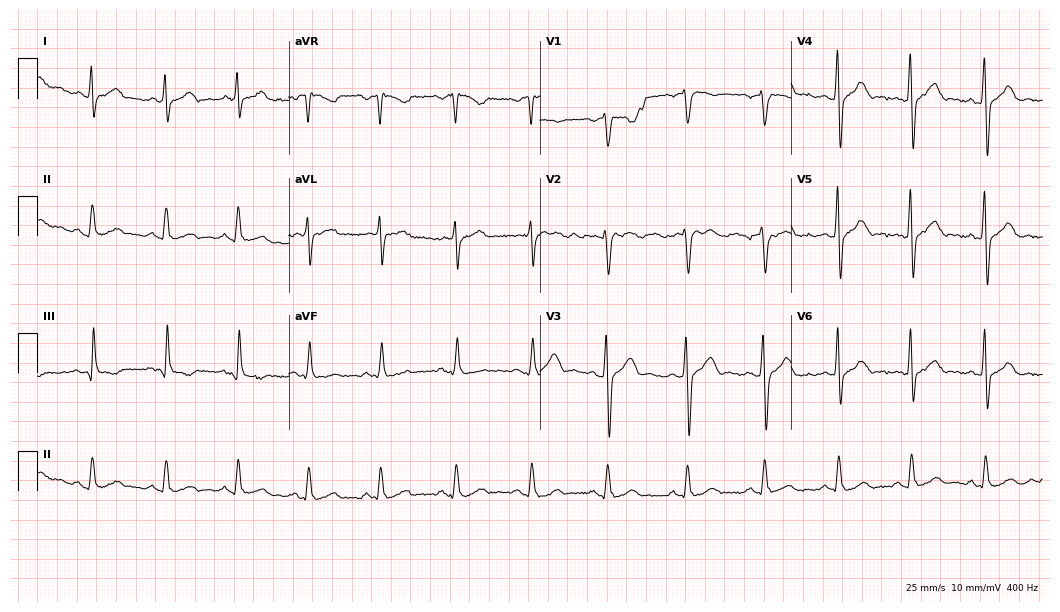
12-lead ECG (10.2-second recording at 400 Hz) from a 29-year-old male. Screened for six findings — first-degree AV block, right bundle branch block, left bundle branch block, sinus bradycardia, atrial fibrillation, sinus tachycardia — none is recorded.